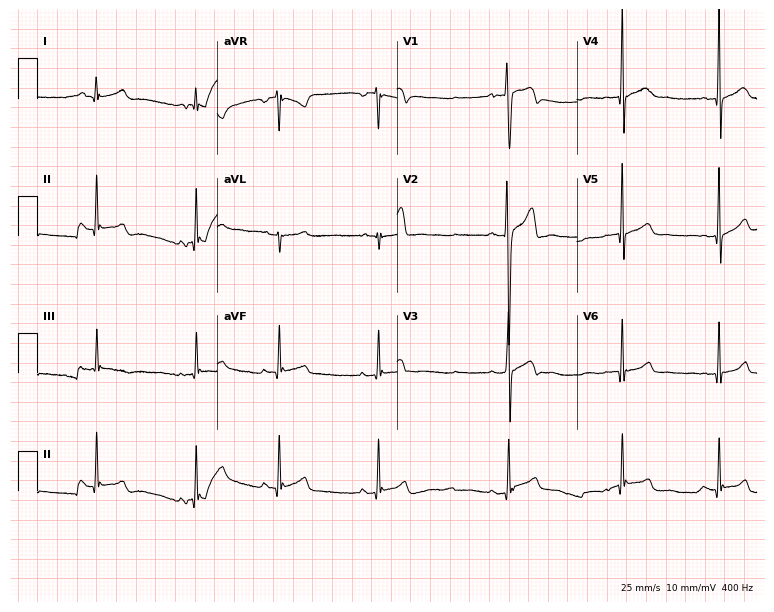
Standard 12-lead ECG recorded from a male, 17 years old. None of these six findings is recorded: first-degree AV block, right bundle branch block (RBBB), left bundle branch block (LBBB), sinus bradycardia, atrial fibrillation (AF), sinus tachycardia. Other findings, if any, are not listed.